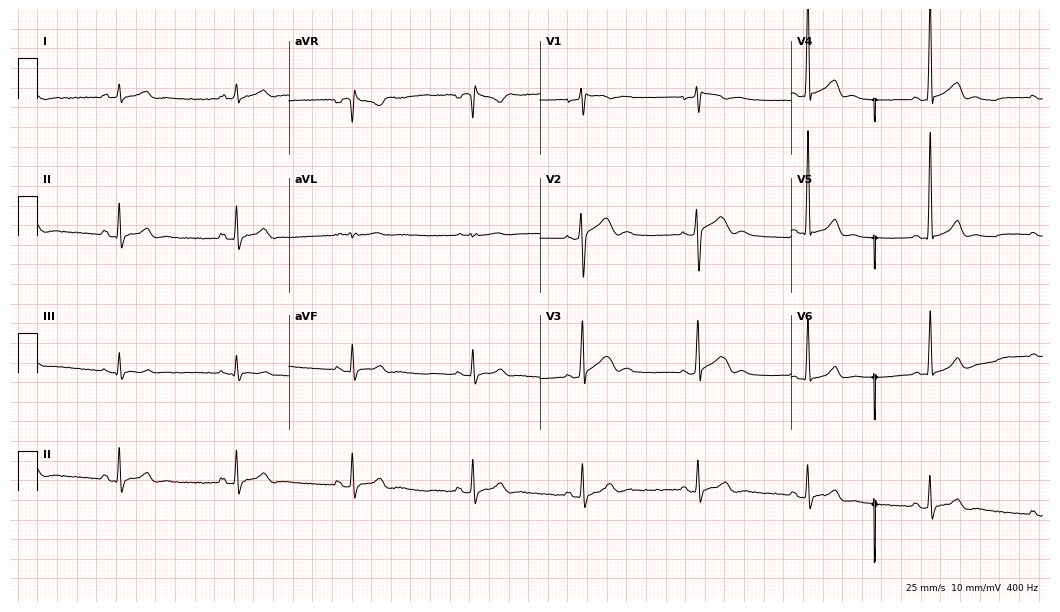
Resting 12-lead electrocardiogram. Patient: a male, 23 years old. Read as a normal ECG.